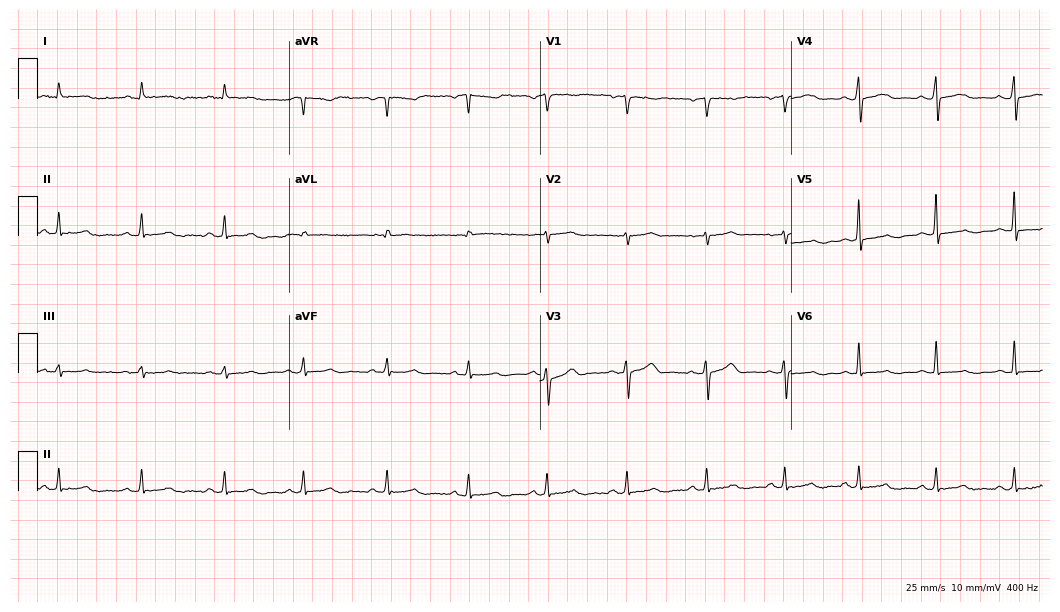
12-lead ECG from a 33-year-old woman (10.2-second recording at 400 Hz). Recorded interpretation: within normal limits.